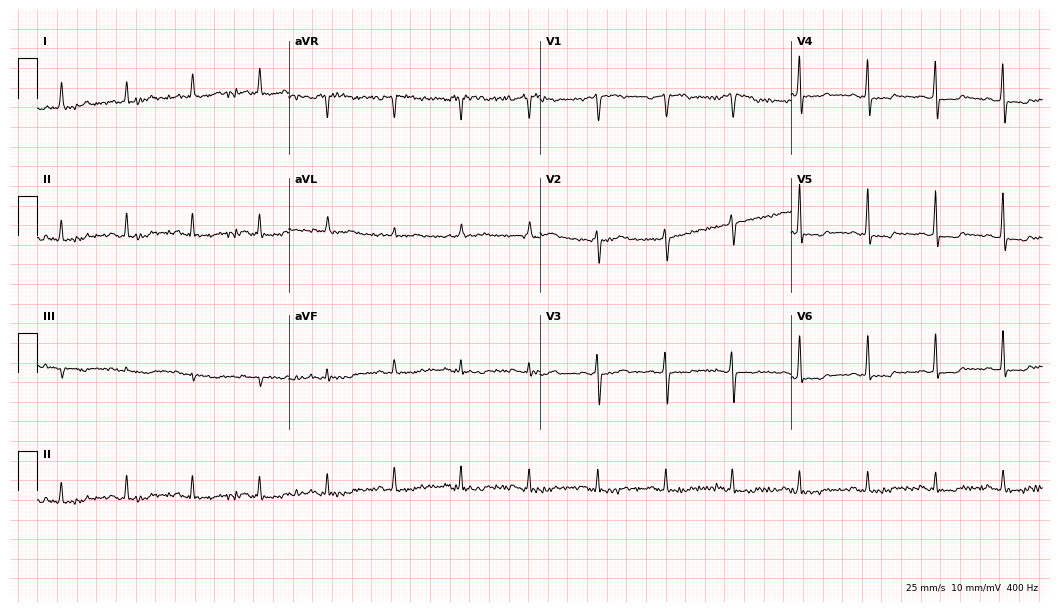
12-lead ECG from a 62-year-old female patient. No first-degree AV block, right bundle branch block (RBBB), left bundle branch block (LBBB), sinus bradycardia, atrial fibrillation (AF) or sinus tachycardia recorded for this tracing.